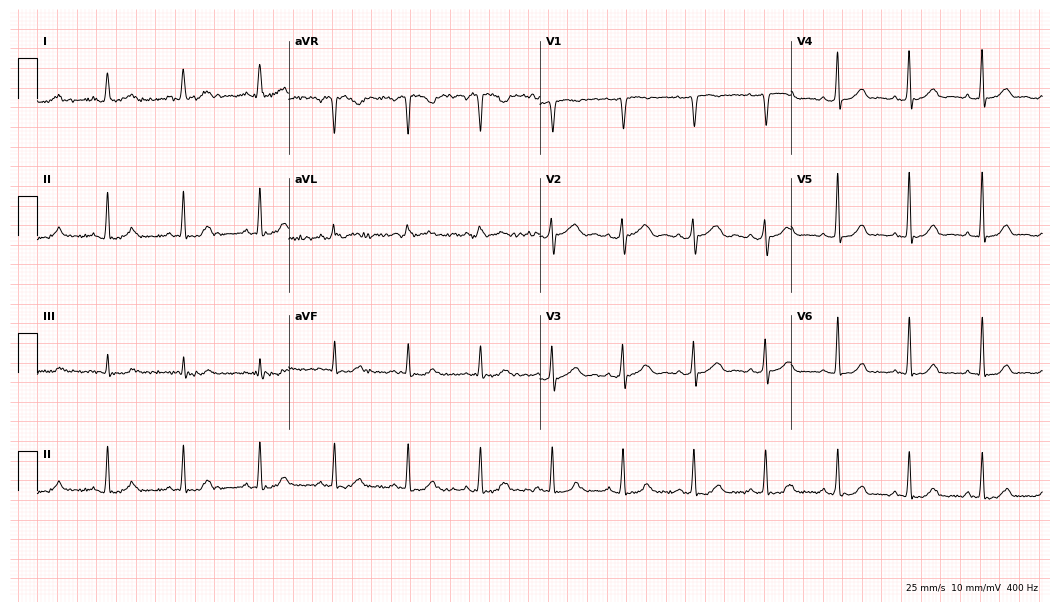
12-lead ECG from a female, 38 years old (10.2-second recording at 400 Hz). No first-degree AV block, right bundle branch block, left bundle branch block, sinus bradycardia, atrial fibrillation or sinus tachycardia recorded for this tracing.